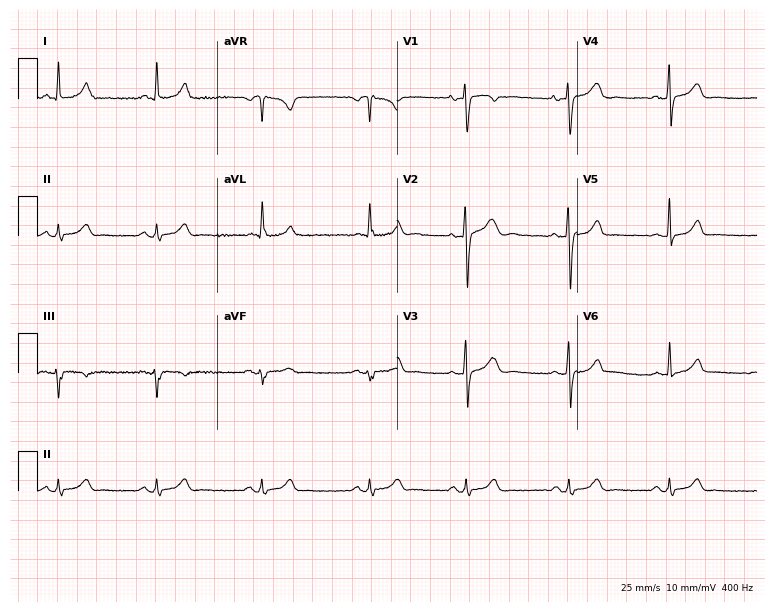
12-lead ECG (7.3-second recording at 400 Hz) from a woman, 40 years old. Screened for six findings — first-degree AV block, right bundle branch block, left bundle branch block, sinus bradycardia, atrial fibrillation, sinus tachycardia — none is recorded.